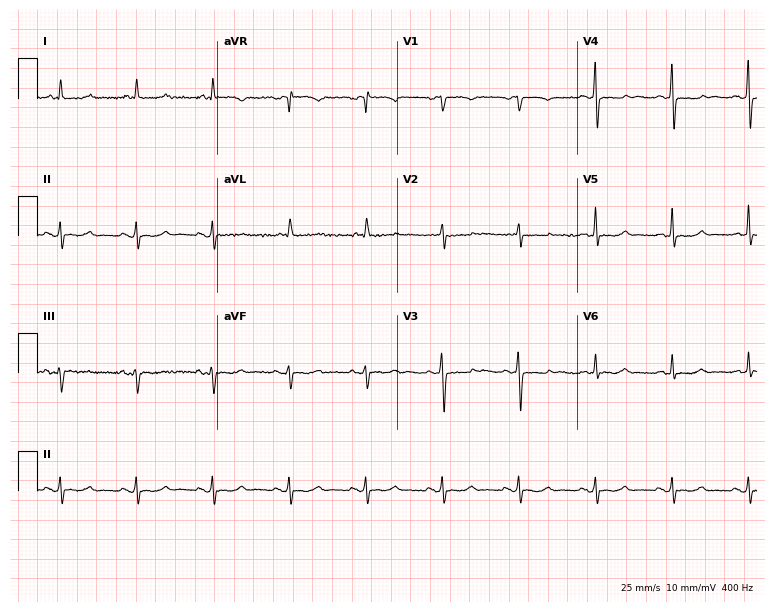
Standard 12-lead ECG recorded from a male patient, 82 years old. Read as a normal ECG.